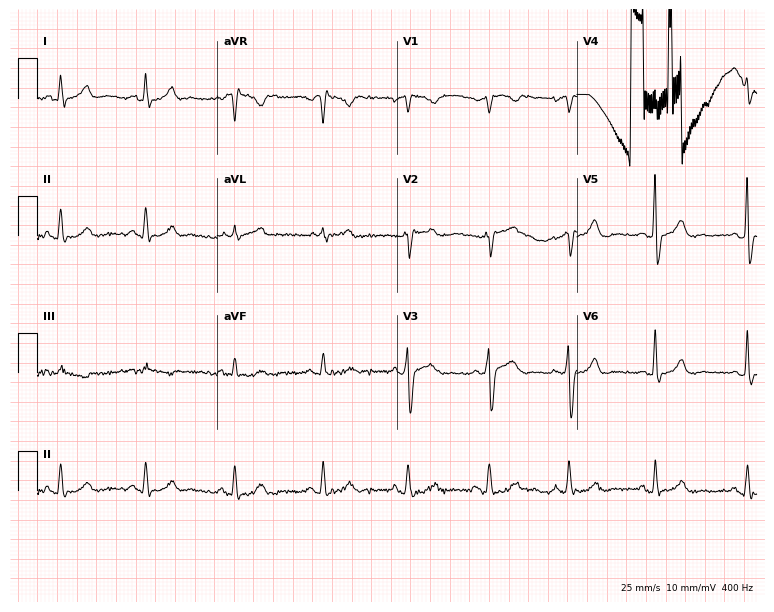
ECG (7.3-second recording at 400 Hz) — a male patient, 53 years old. Labelled as a normal ECG.